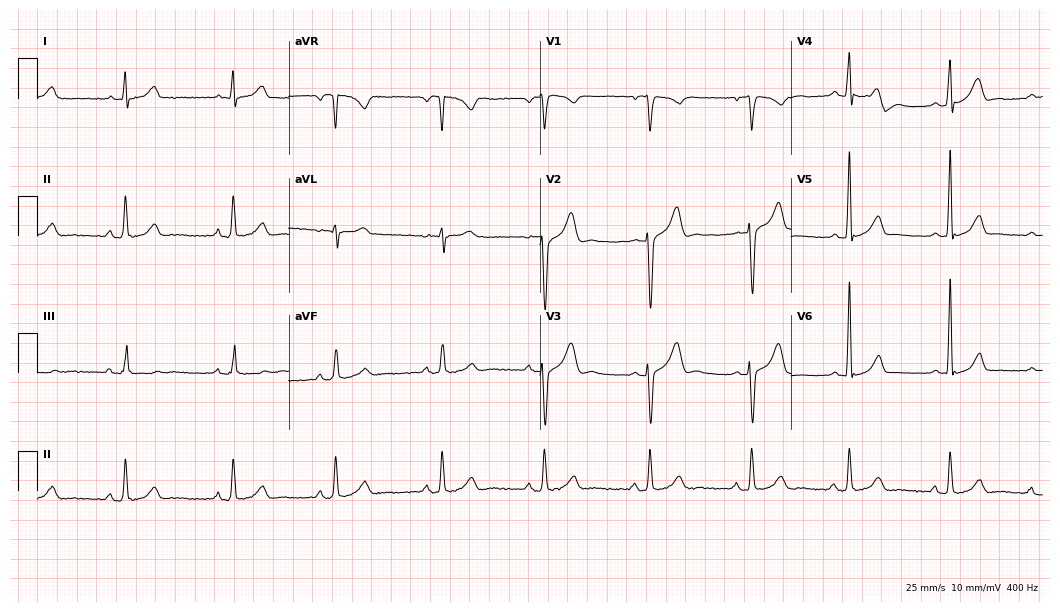
12-lead ECG (10.2-second recording at 400 Hz) from a 26-year-old male patient. Screened for six findings — first-degree AV block, right bundle branch block, left bundle branch block, sinus bradycardia, atrial fibrillation, sinus tachycardia — none is recorded. Other findings, if any, are not listed.